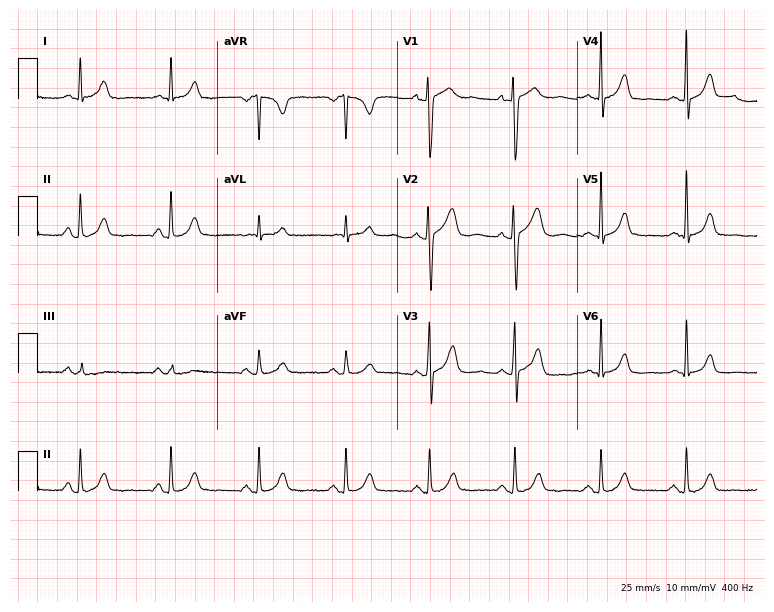
Resting 12-lead electrocardiogram. Patient: a 38-year-old woman. Read as a normal ECG.